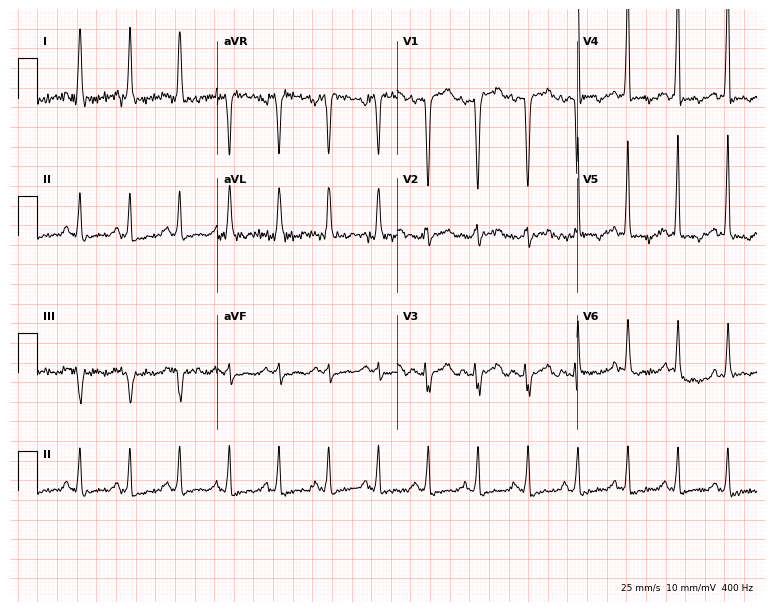
Resting 12-lead electrocardiogram (7.3-second recording at 400 Hz). Patient: a woman, 53 years old. None of these six findings is recorded: first-degree AV block, right bundle branch block (RBBB), left bundle branch block (LBBB), sinus bradycardia, atrial fibrillation (AF), sinus tachycardia.